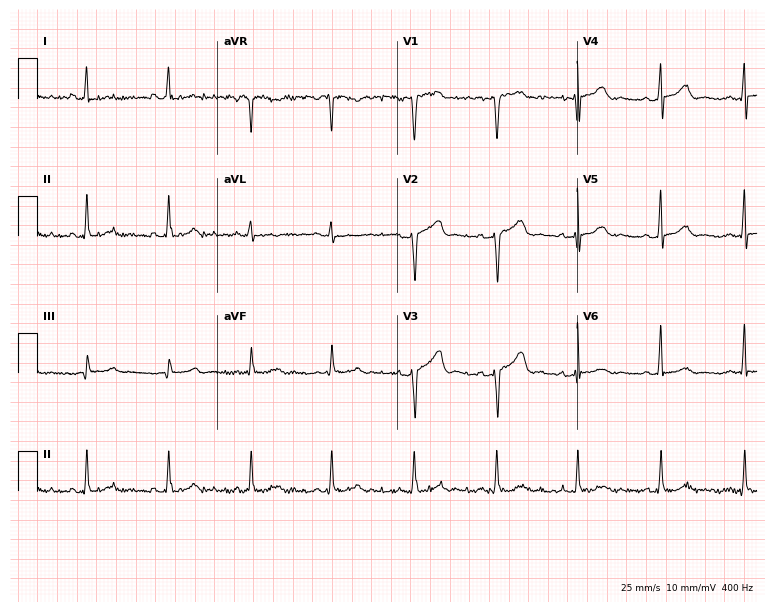
12-lead ECG from a woman, 48 years old. Recorded interpretation: within normal limits.